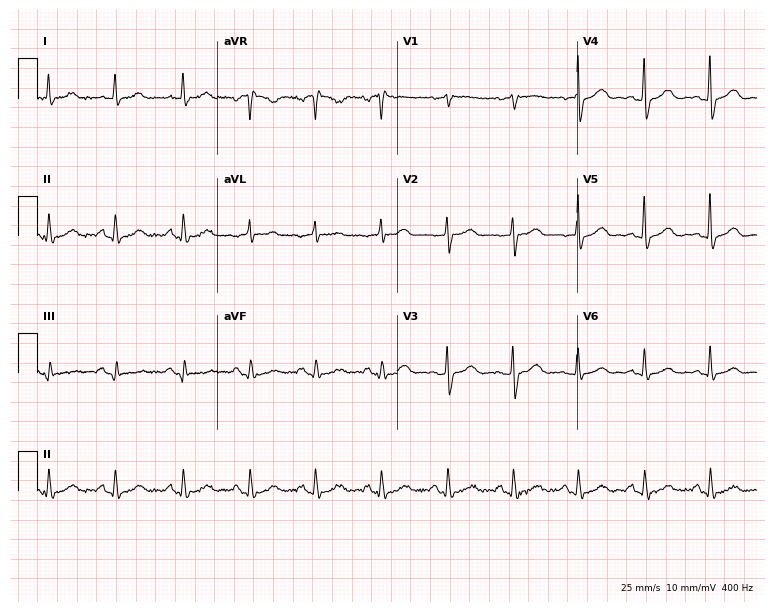
ECG — a 63-year-old female. Labelled as a normal ECG.